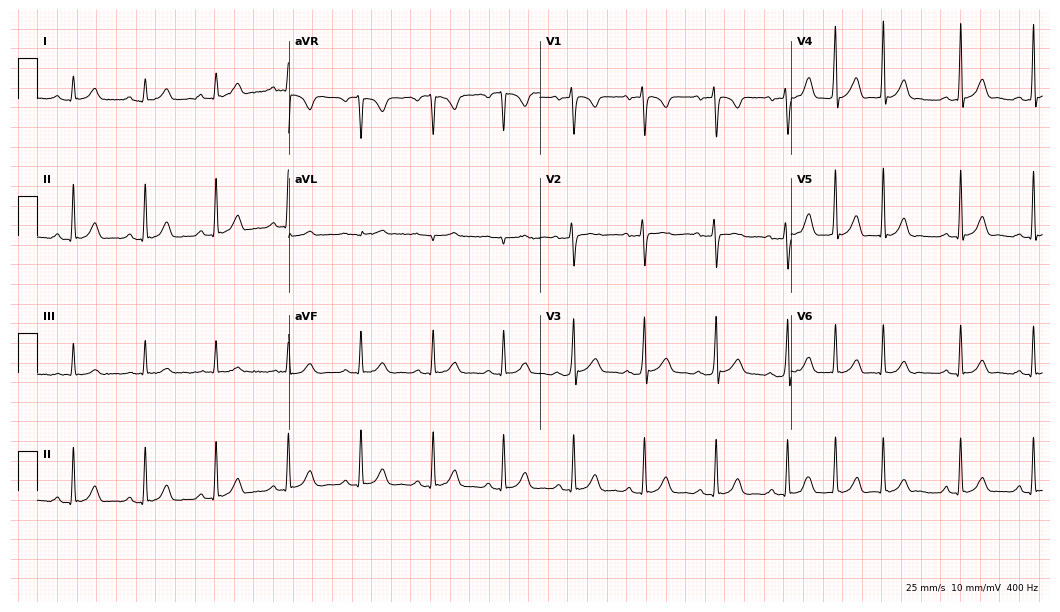
Electrocardiogram (10.2-second recording at 400 Hz), a female patient, 21 years old. Overall reading on record: normal ECG.